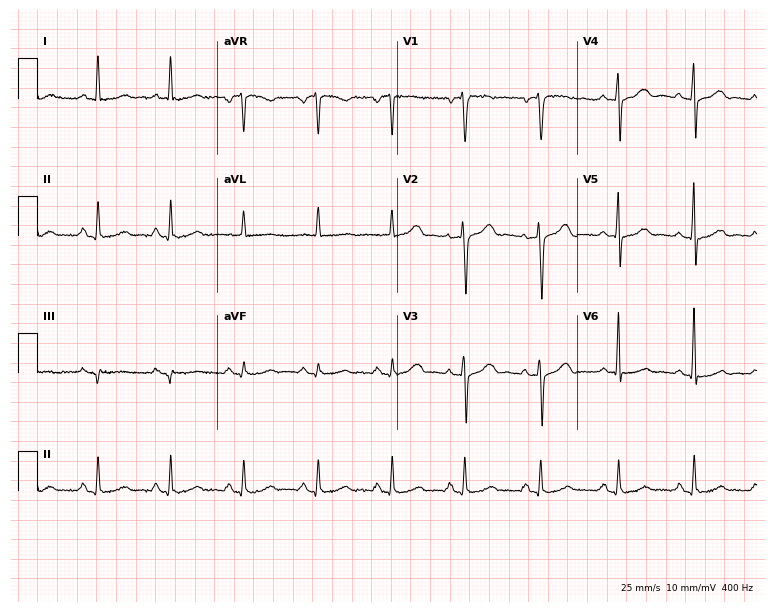
12-lead ECG from a female patient, 61 years old. Screened for six findings — first-degree AV block, right bundle branch block, left bundle branch block, sinus bradycardia, atrial fibrillation, sinus tachycardia — none is recorded.